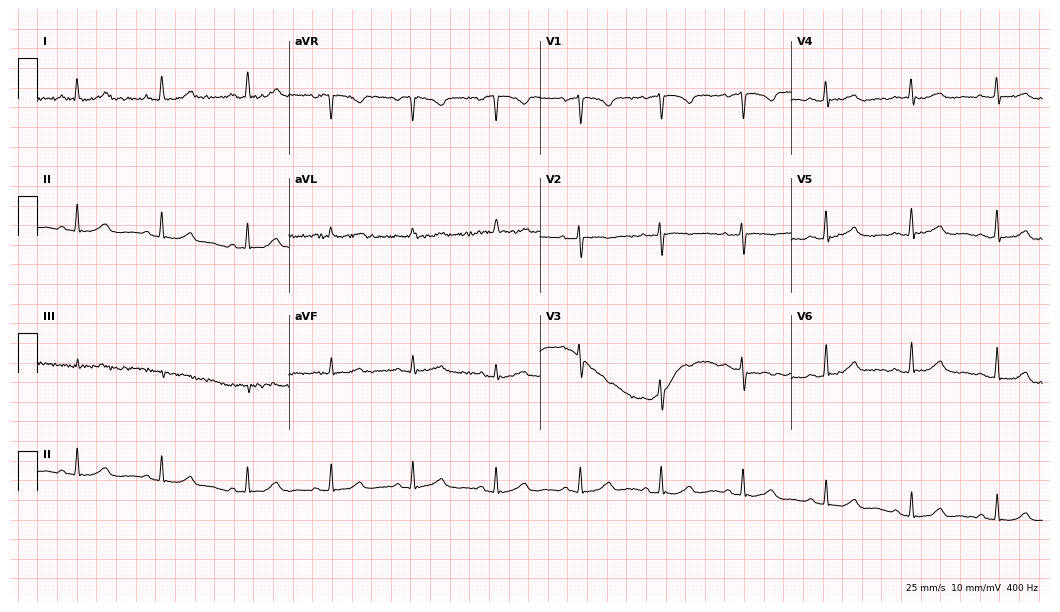
Standard 12-lead ECG recorded from a 56-year-old female patient. Read as a normal ECG.